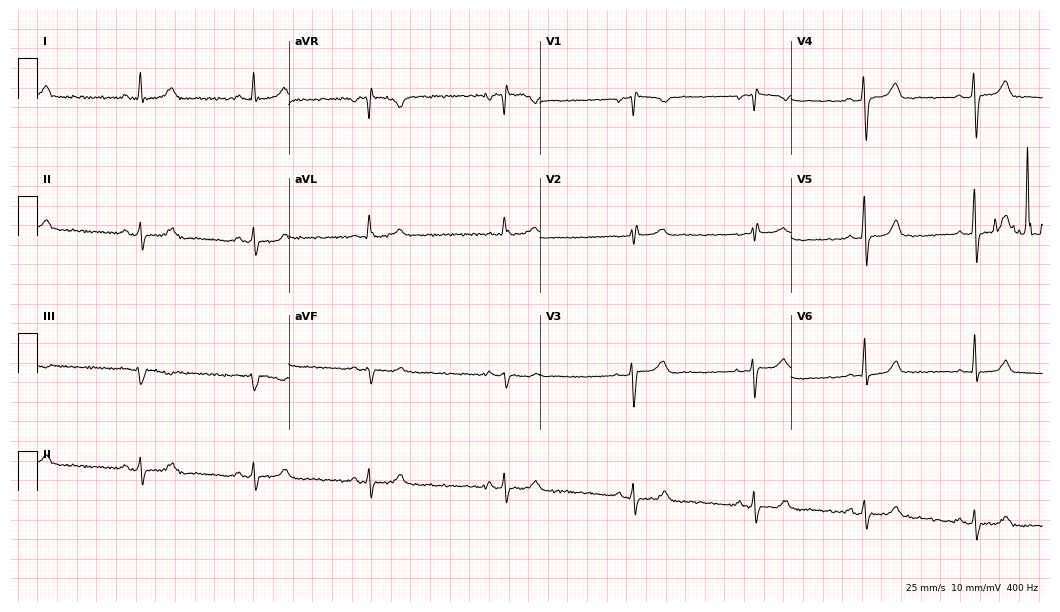
12-lead ECG (10.2-second recording at 400 Hz) from a 58-year-old woman. Screened for six findings — first-degree AV block, right bundle branch block, left bundle branch block, sinus bradycardia, atrial fibrillation, sinus tachycardia — none is recorded. Other findings, if any, are not listed.